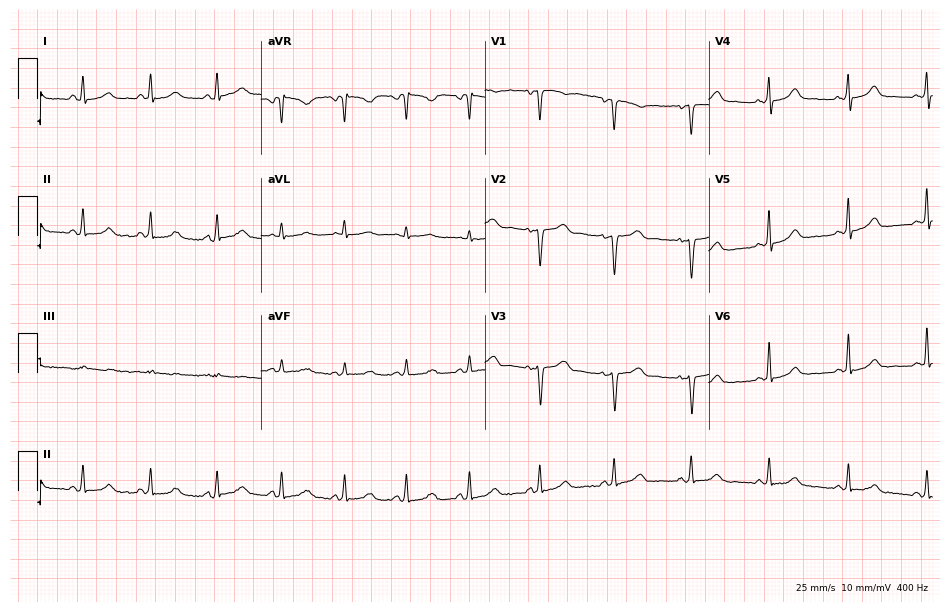
Electrocardiogram, a 39-year-old female. Overall reading on record: normal ECG.